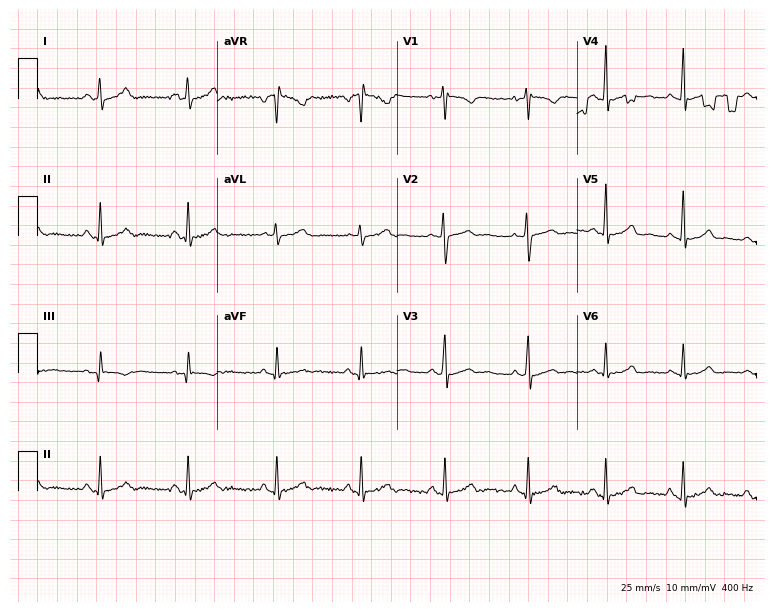
12-lead ECG from a female, 24 years old. No first-degree AV block, right bundle branch block, left bundle branch block, sinus bradycardia, atrial fibrillation or sinus tachycardia recorded for this tracing. Other findings, if any, are not listed.